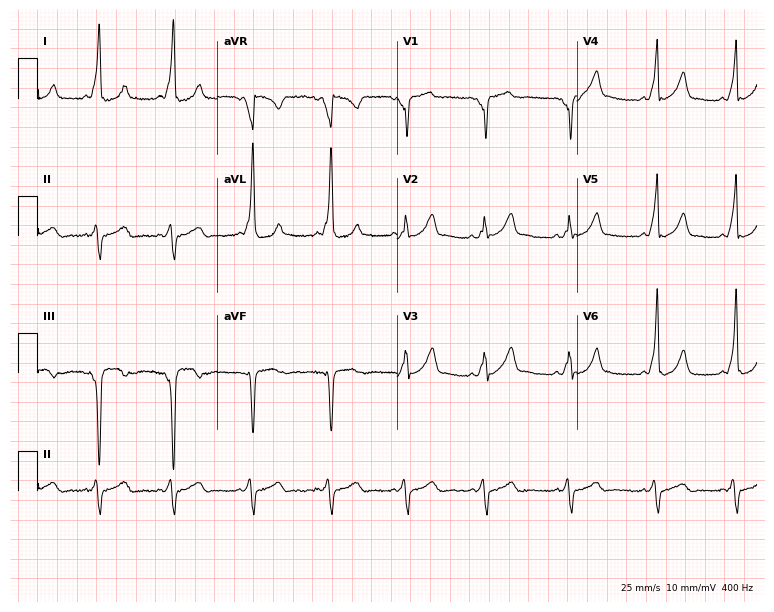
12-lead ECG from a female, 30 years old. Screened for six findings — first-degree AV block, right bundle branch block, left bundle branch block, sinus bradycardia, atrial fibrillation, sinus tachycardia — none is recorded.